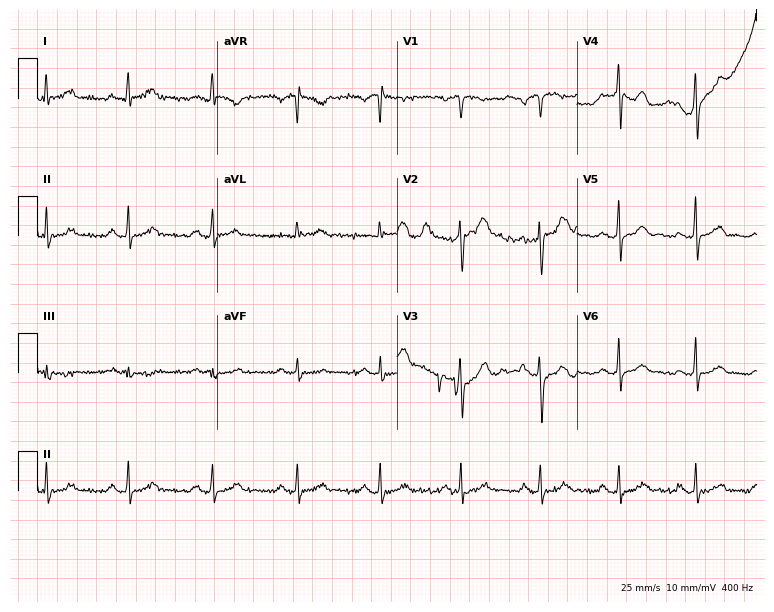
12-lead ECG from a 42-year-old man. Screened for six findings — first-degree AV block, right bundle branch block, left bundle branch block, sinus bradycardia, atrial fibrillation, sinus tachycardia — none is recorded. Findings outside these six are not listed.